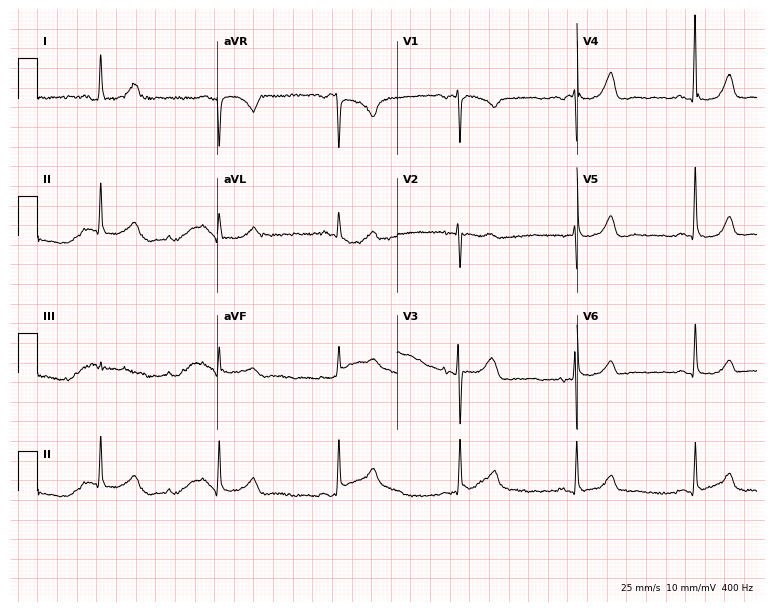
Standard 12-lead ECG recorded from a female, 64 years old (7.3-second recording at 400 Hz). None of these six findings is recorded: first-degree AV block, right bundle branch block (RBBB), left bundle branch block (LBBB), sinus bradycardia, atrial fibrillation (AF), sinus tachycardia.